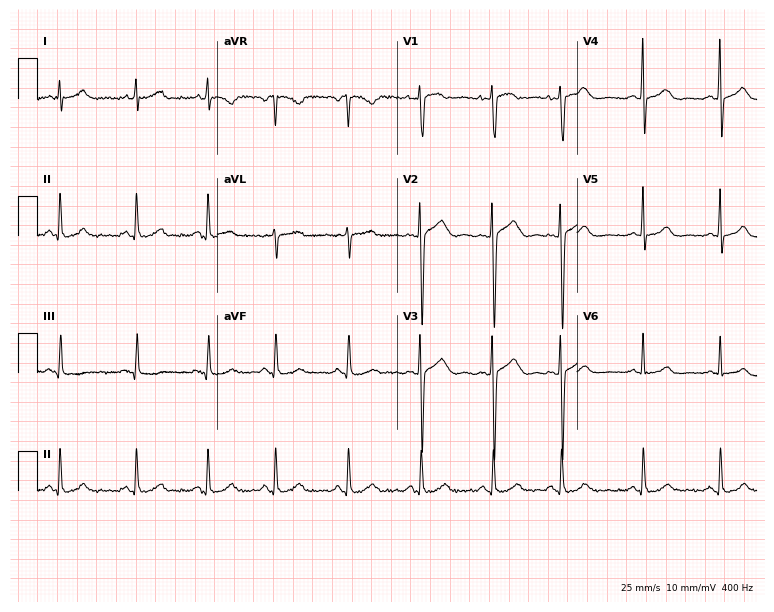
Standard 12-lead ECG recorded from a woman, 25 years old (7.3-second recording at 400 Hz). None of these six findings is recorded: first-degree AV block, right bundle branch block, left bundle branch block, sinus bradycardia, atrial fibrillation, sinus tachycardia. Findings outside these six are not listed.